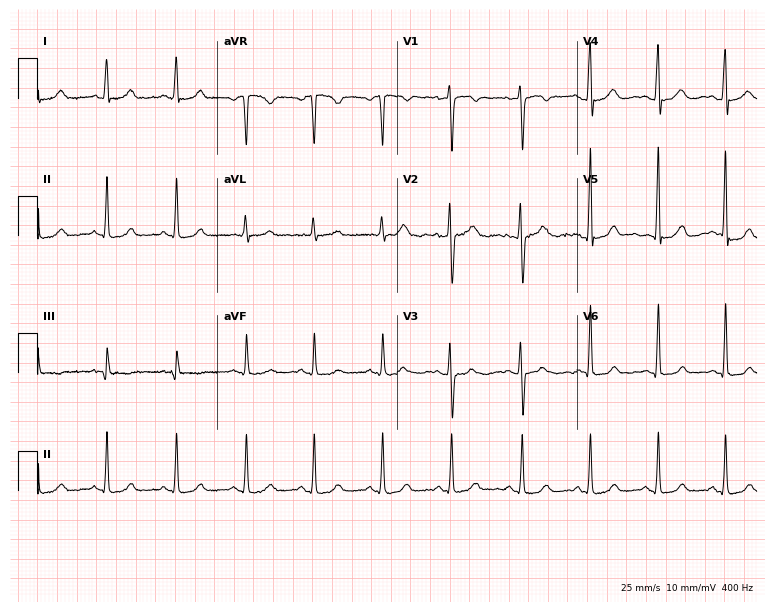
12-lead ECG from a 36-year-old woman. Labelled as a normal ECG.